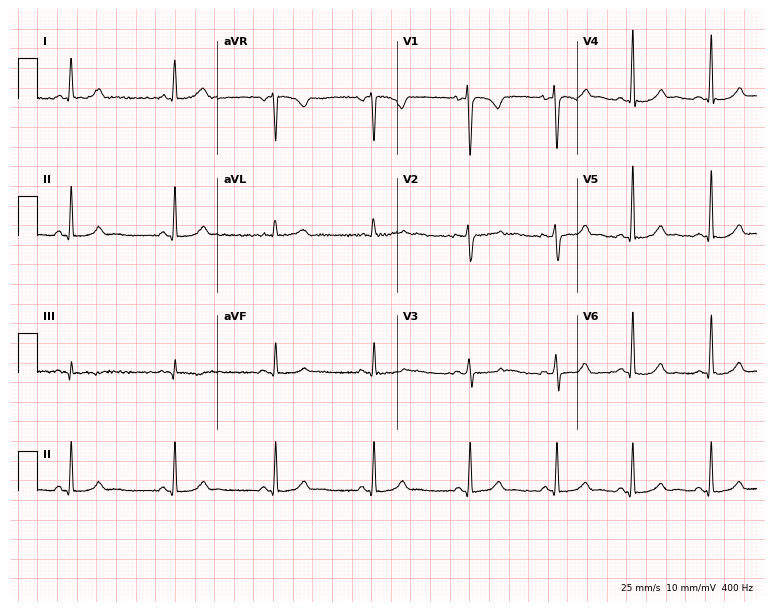
ECG — a 28-year-old female patient. Labelled as a normal ECG.